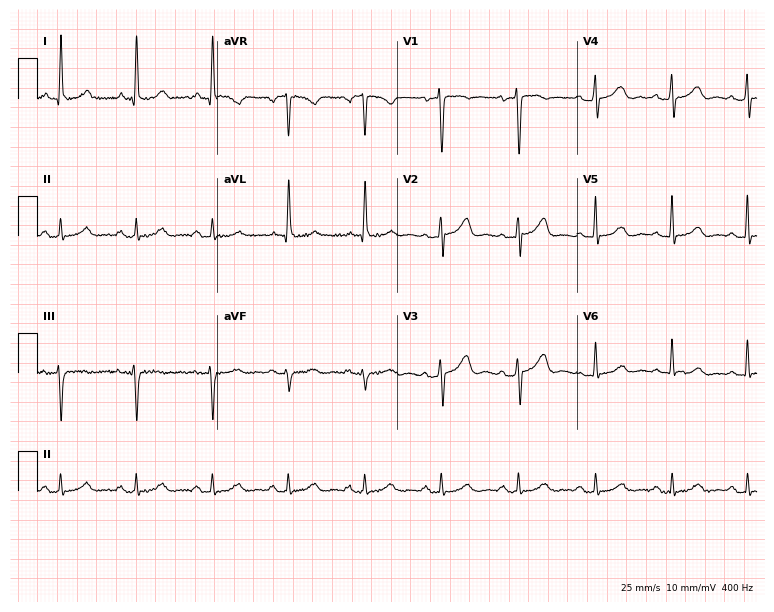
Electrocardiogram (7.3-second recording at 400 Hz), a man, 80 years old. Of the six screened findings (first-degree AV block, right bundle branch block (RBBB), left bundle branch block (LBBB), sinus bradycardia, atrial fibrillation (AF), sinus tachycardia), none is recorded. Only these six findings were labelled.